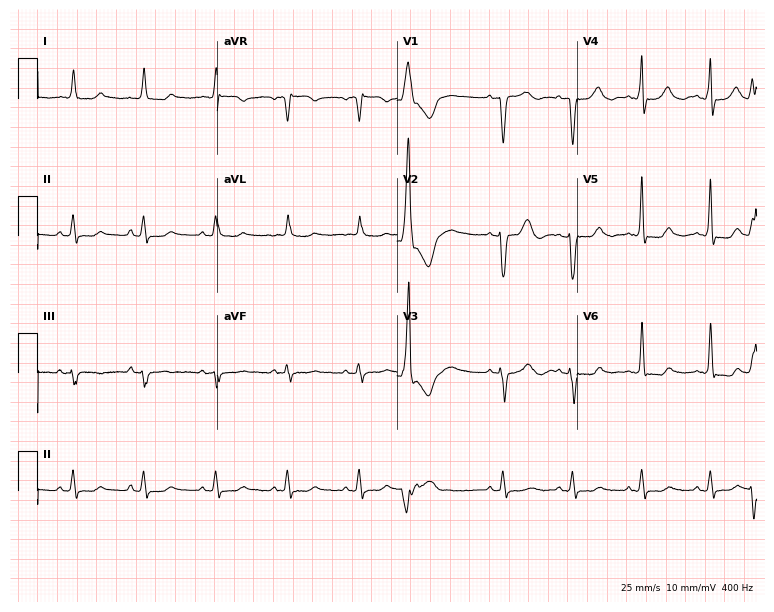
ECG (7.3-second recording at 400 Hz) — a 77-year-old female patient. Screened for six findings — first-degree AV block, right bundle branch block, left bundle branch block, sinus bradycardia, atrial fibrillation, sinus tachycardia — none is recorded.